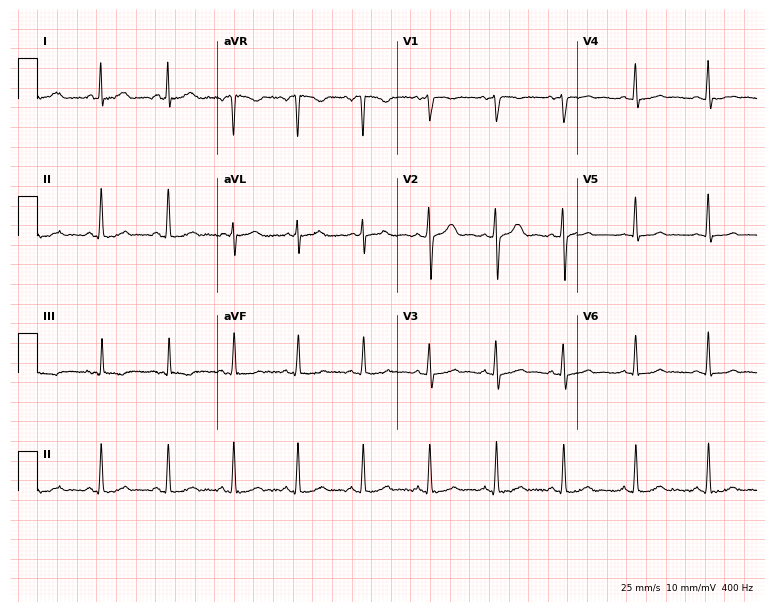
Standard 12-lead ECG recorded from a female patient, 28 years old (7.3-second recording at 400 Hz). Read as a normal ECG.